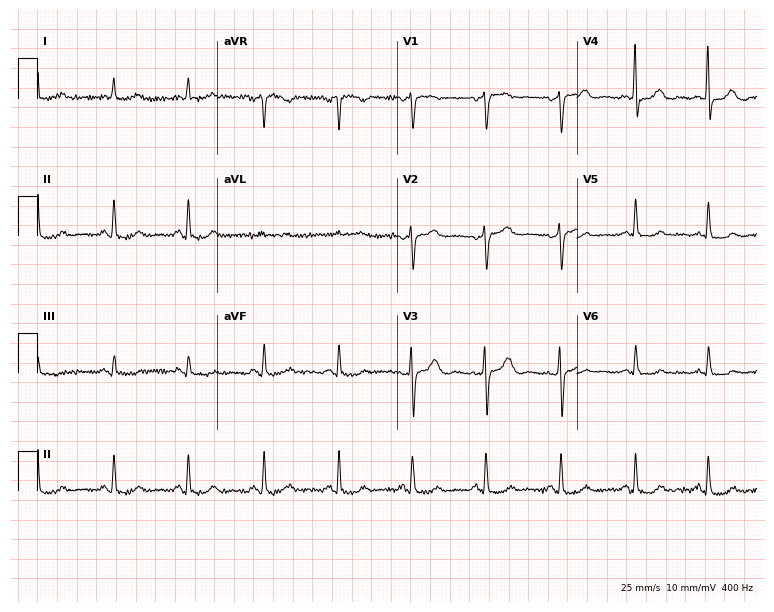
12-lead ECG from a female, 82 years old (7.3-second recording at 400 Hz). No first-degree AV block, right bundle branch block (RBBB), left bundle branch block (LBBB), sinus bradycardia, atrial fibrillation (AF) or sinus tachycardia recorded for this tracing. Other findings, if any, are not listed.